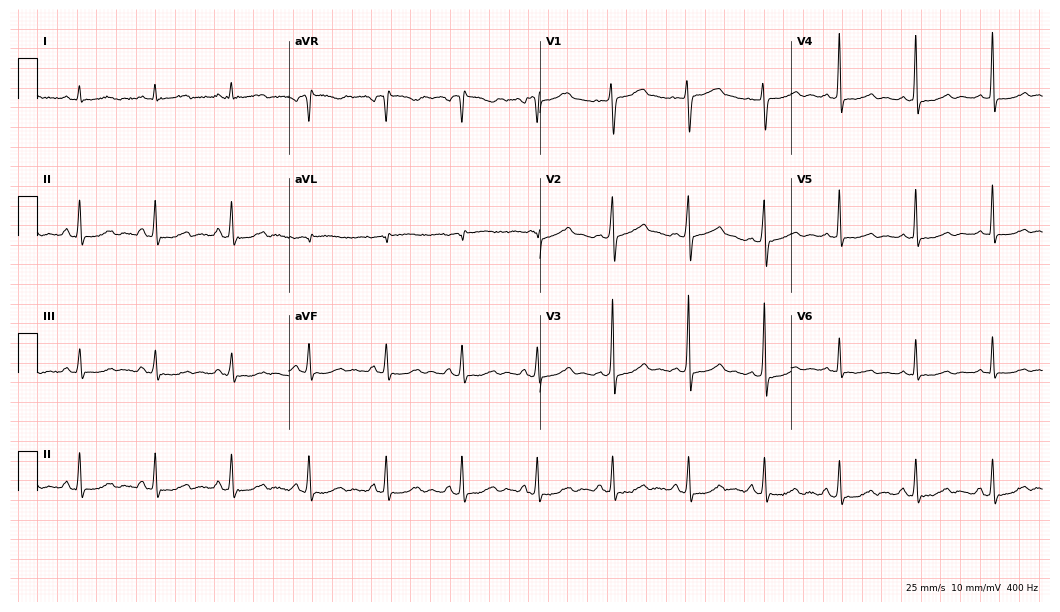
12-lead ECG from a female patient, 53 years old (10.2-second recording at 400 Hz). No first-degree AV block, right bundle branch block, left bundle branch block, sinus bradycardia, atrial fibrillation or sinus tachycardia recorded for this tracing. Other findings, if any, are not listed.